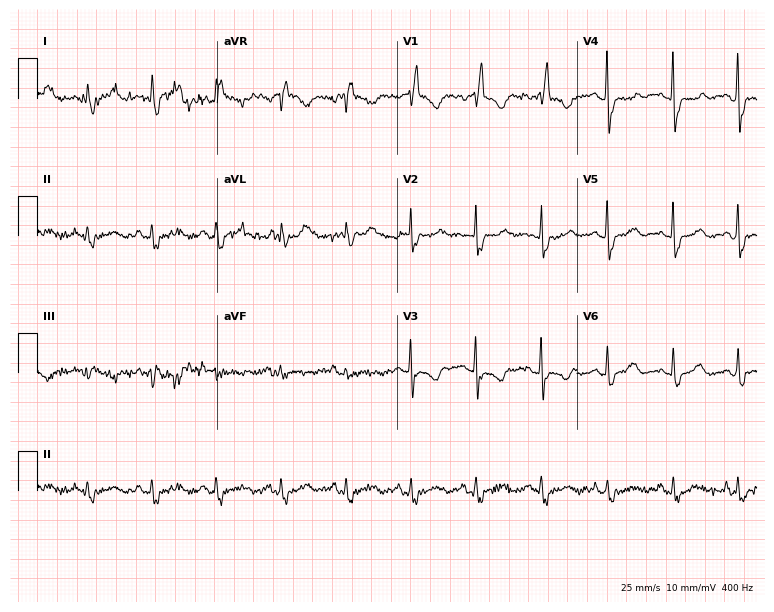
12-lead ECG from a female, 86 years old. No first-degree AV block, right bundle branch block, left bundle branch block, sinus bradycardia, atrial fibrillation or sinus tachycardia recorded for this tracing. Only these six findings were labelled.